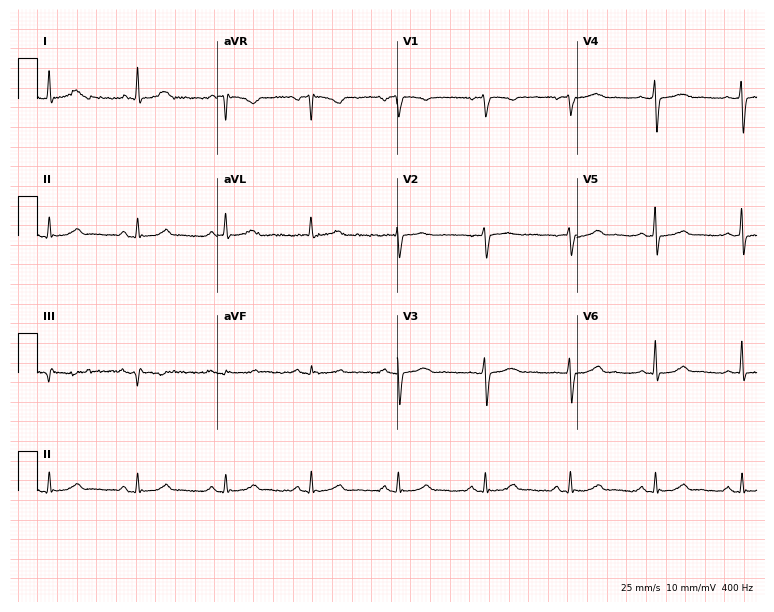
Standard 12-lead ECG recorded from a 49-year-old female. Read as a normal ECG.